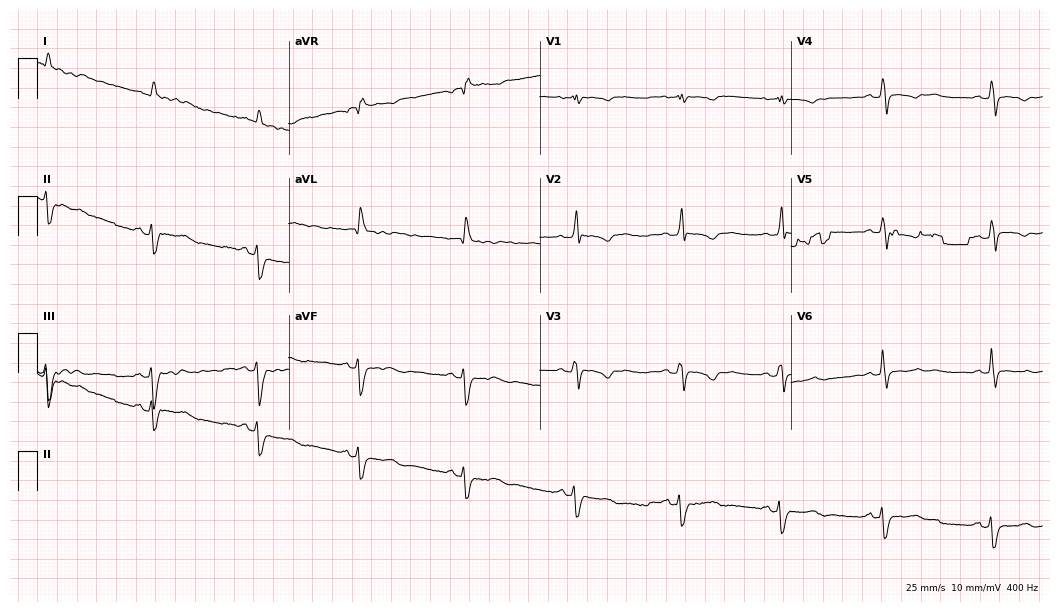
12-lead ECG from a 73-year-old woman. No first-degree AV block, right bundle branch block (RBBB), left bundle branch block (LBBB), sinus bradycardia, atrial fibrillation (AF) or sinus tachycardia recorded for this tracing. Other findings, if any, are not listed.